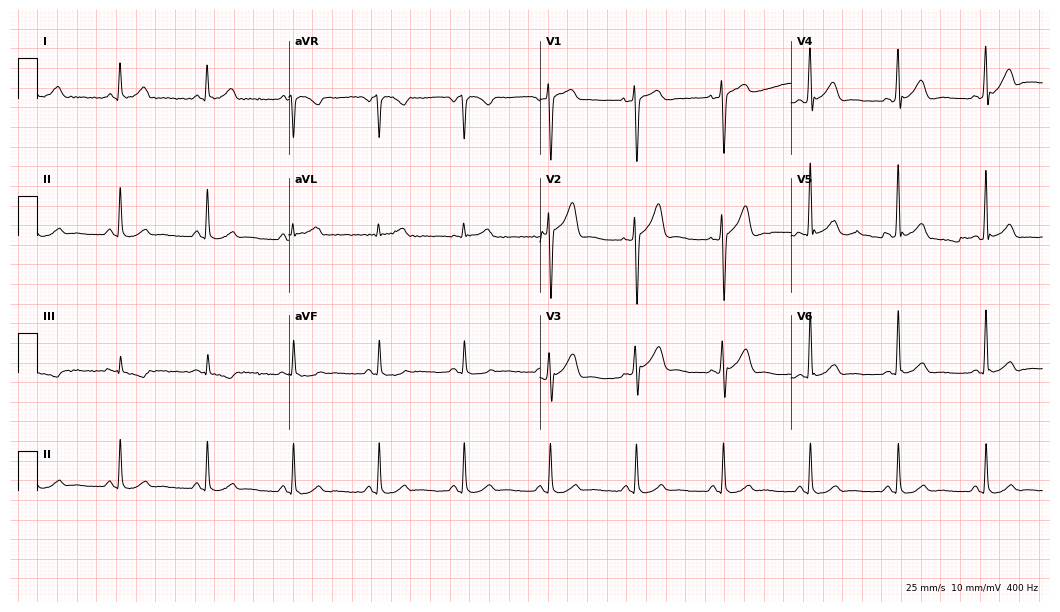
12-lead ECG from a 44-year-old man. Labelled as a normal ECG.